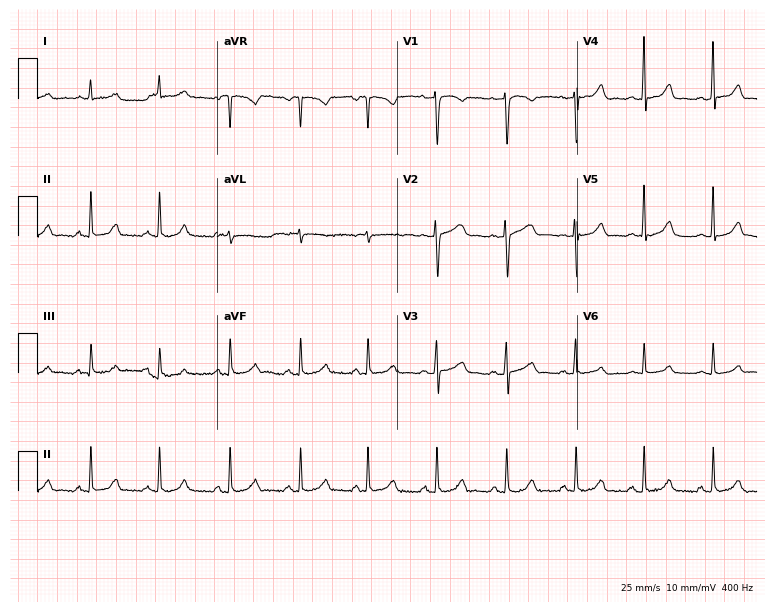
Standard 12-lead ECG recorded from a woman, 21 years old (7.3-second recording at 400 Hz). None of these six findings is recorded: first-degree AV block, right bundle branch block, left bundle branch block, sinus bradycardia, atrial fibrillation, sinus tachycardia.